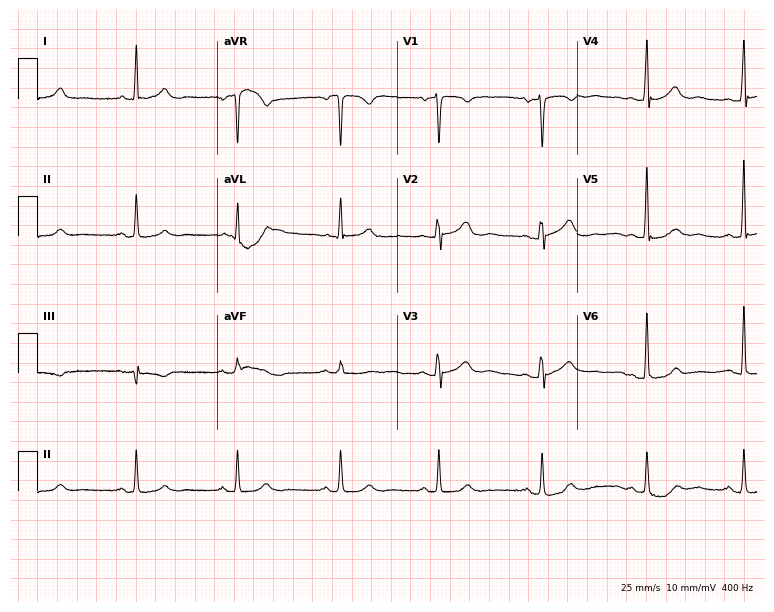
Standard 12-lead ECG recorded from a 61-year-old female. None of these six findings is recorded: first-degree AV block, right bundle branch block, left bundle branch block, sinus bradycardia, atrial fibrillation, sinus tachycardia. Findings outside these six are not listed.